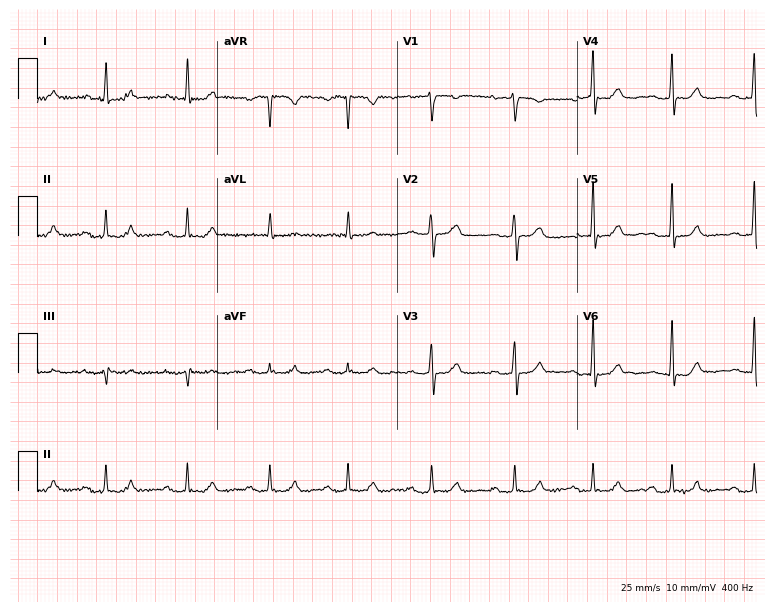
ECG (7.3-second recording at 400 Hz) — a male patient, 54 years old. Labelled as a normal ECG.